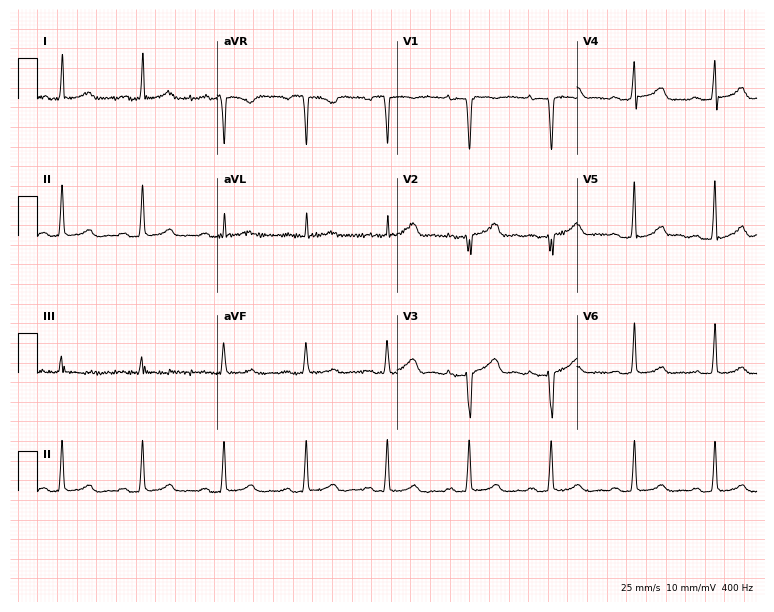
12-lead ECG from a 41-year-old female. Screened for six findings — first-degree AV block, right bundle branch block (RBBB), left bundle branch block (LBBB), sinus bradycardia, atrial fibrillation (AF), sinus tachycardia — none is recorded.